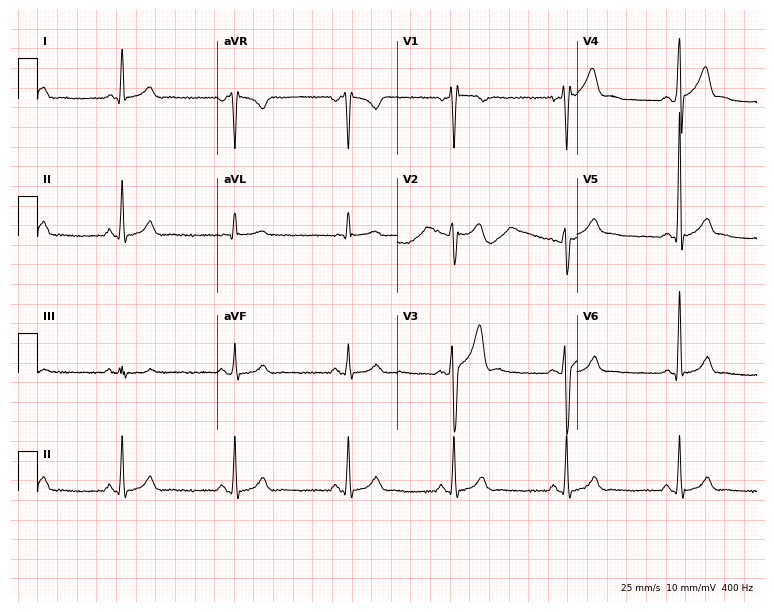
Resting 12-lead electrocardiogram (7.3-second recording at 400 Hz). Patient: a man, 35 years old. None of these six findings is recorded: first-degree AV block, right bundle branch block, left bundle branch block, sinus bradycardia, atrial fibrillation, sinus tachycardia. Other findings, if any, are not listed.